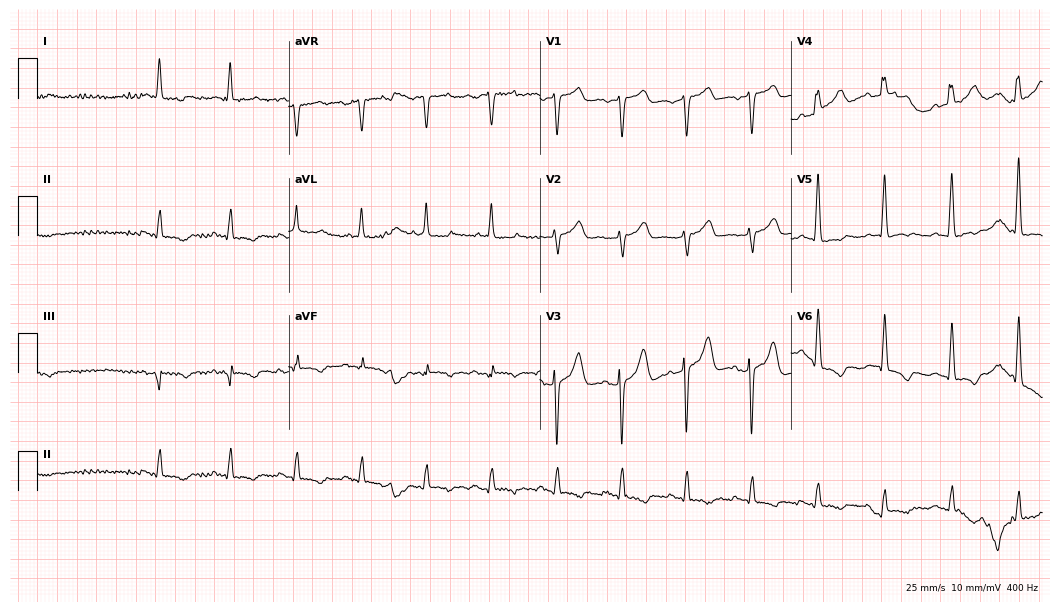
Standard 12-lead ECG recorded from a 78-year-old male (10.2-second recording at 400 Hz). None of these six findings is recorded: first-degree AV block, right bundle branch block, left bundle branch block, sinus bradycardia, atrial fibrillation, sinus tachycardia.